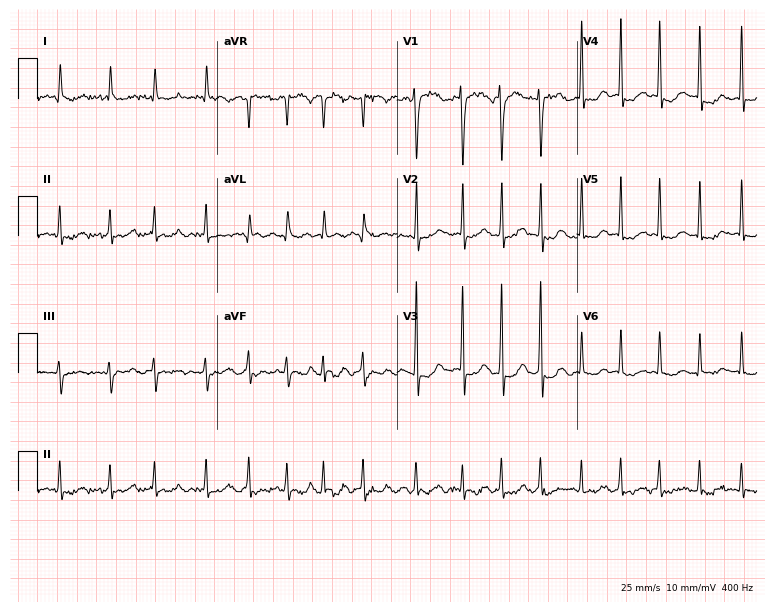
Electrocardiogram (7.3-second recording at 400 Hz), a male patient, 83 years old. Of the six screened findings (first-degree AV block, right bundle branch block, left bundle branch block, sinus bradycardia, atrial fibrillation, sinus tachycardia), none is recorded. Findings outside these six are not listed.